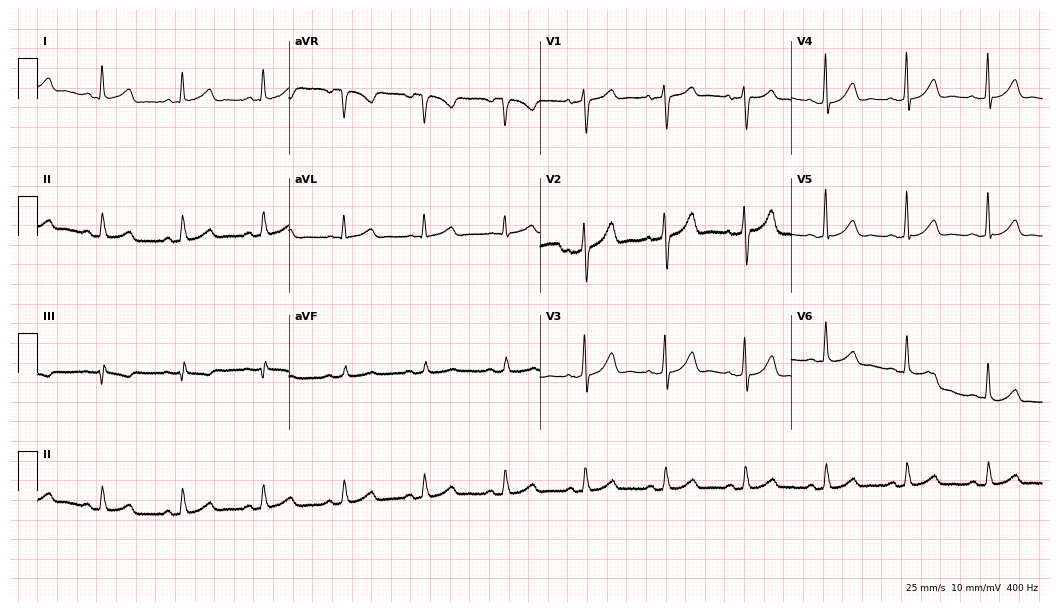
12-lead ECG from a 59-year-old woman (10.2-second recording at 400 Hz). Recorded interpretation: within normal limits.